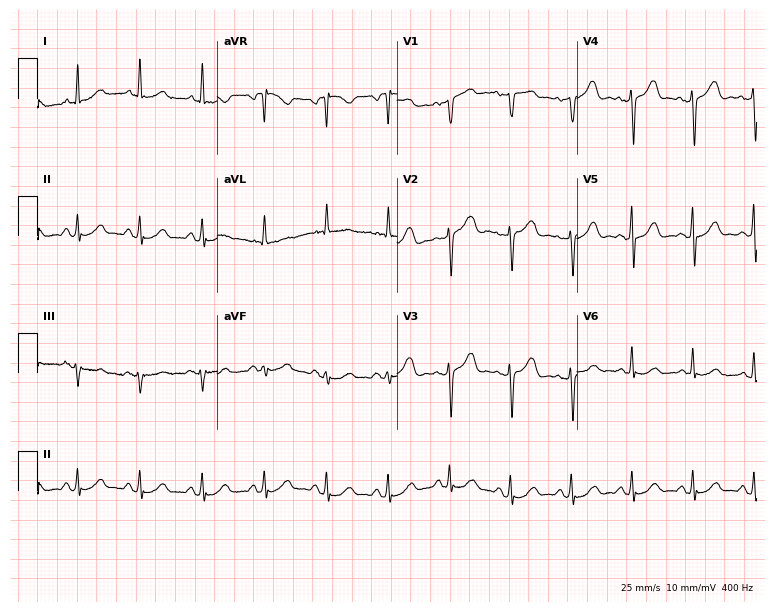
12-lead ECG from a female, 56 years old (7.3-second recording at 400 Hz). No first-degree AV block, right bundle branch block, left bundle branch block, sinus bradycardia, atrial fibrillation or sinus tachycardia recorded for this tracing.